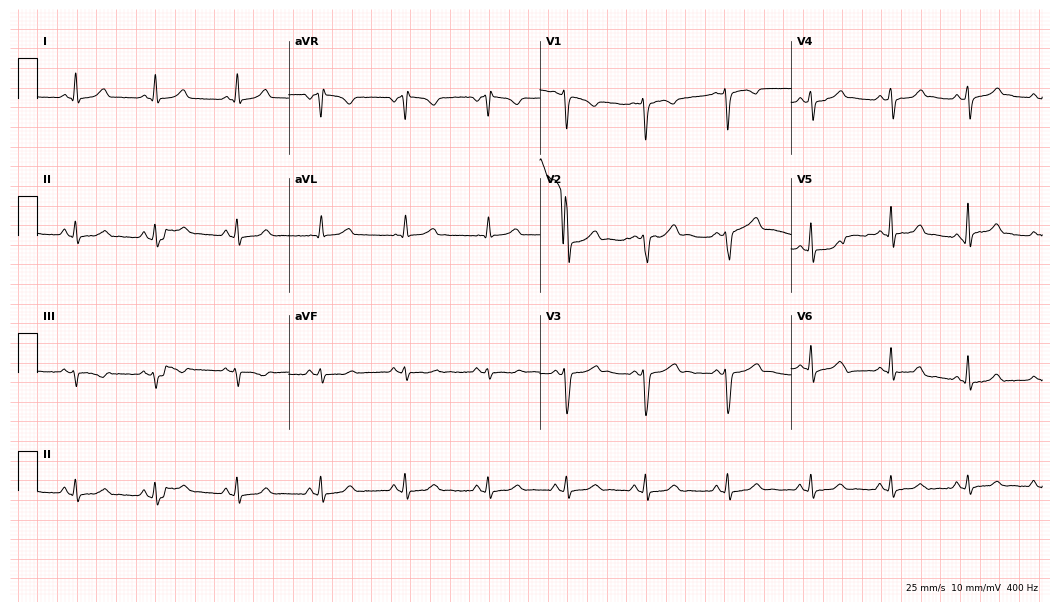
Electrocardiogram (10.2-second recording at 400 Hz), a woman, 26 years old. Of the six screened findings (first-degree AV block, right bundle branch block (RBBB), left bundle branch block (LBBB), sinus bradycardia, atrial fibrillation (AF), sinus tachycardia), none is recorded.